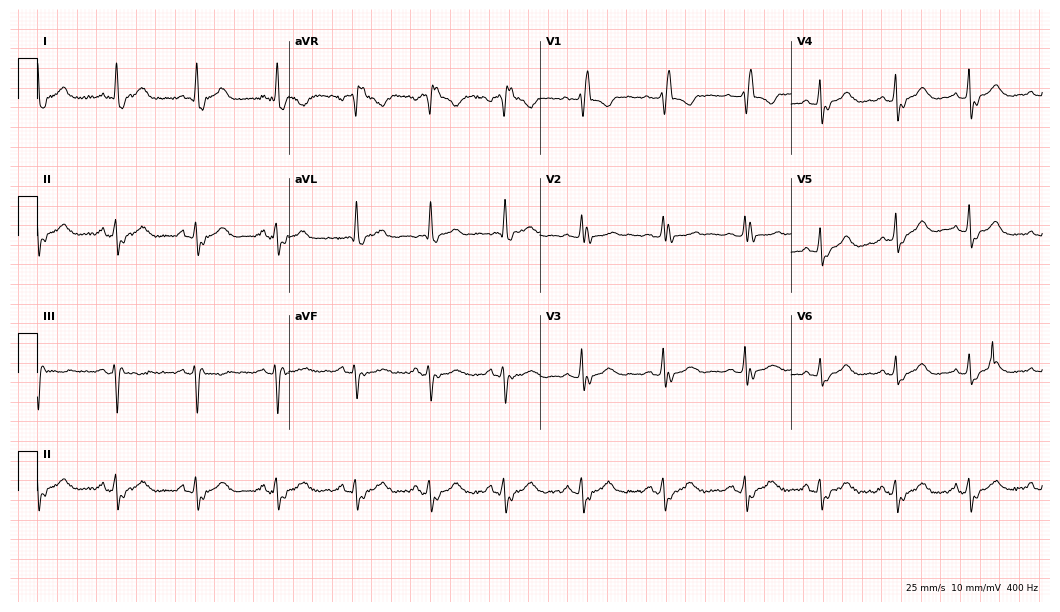
12-lead ECG (10.2-second recording at 400 Hz) from a woman, 79 years old. Findings include right bundle branch block.